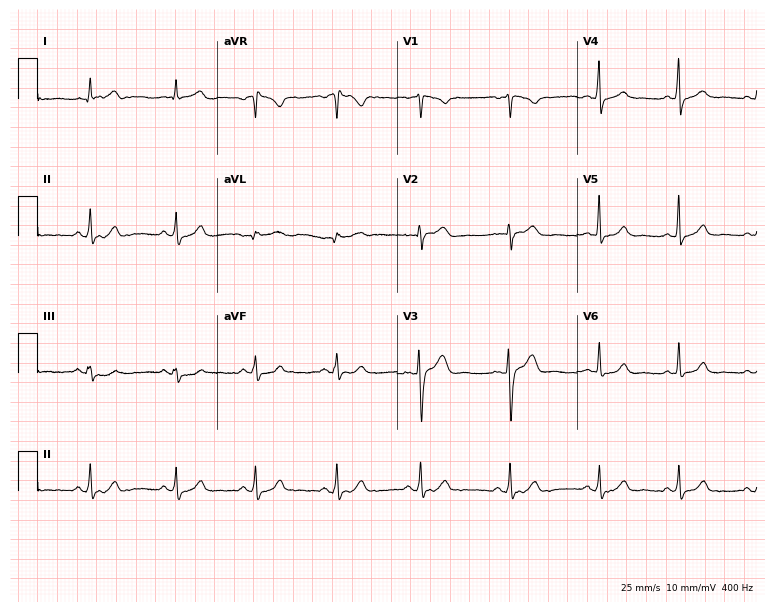
ECG (7.3-second recording at 400 Hz) — a female patient, 29 years old. Labelled as a normal ECG.